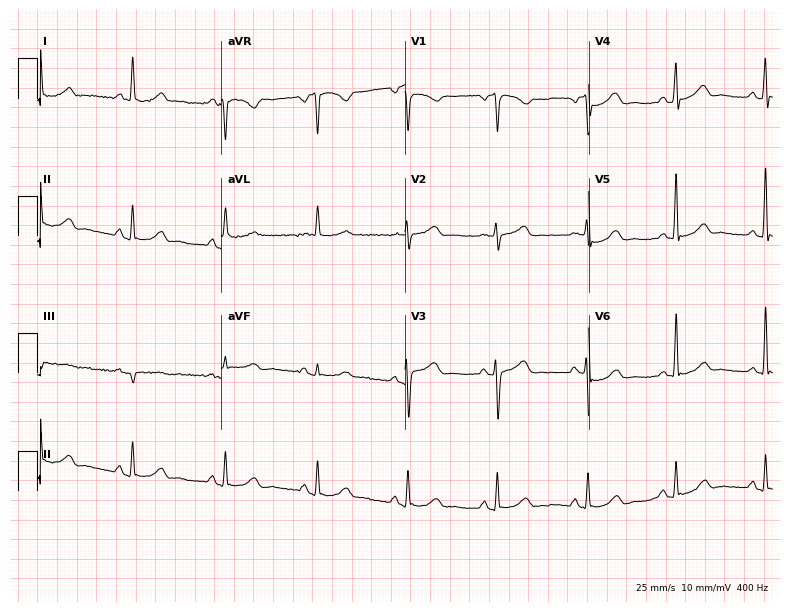
12-lead ECG from a 60-year-old woman. Recorded interpretation: within normal limits.